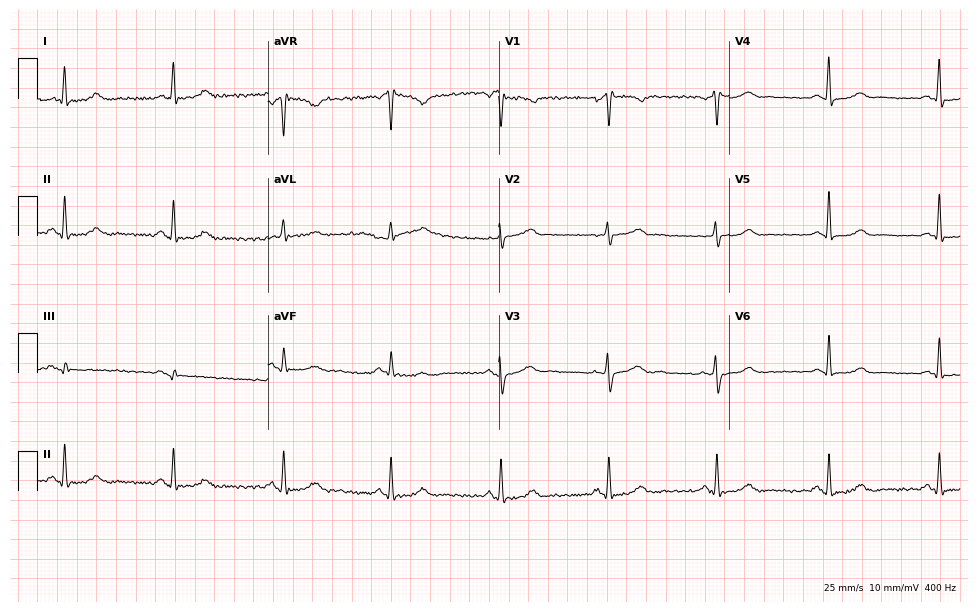
12-lead ECG (9.4-second recording at 400 Hz) from a woman, 52 years old. Labelled as a normal ECG.